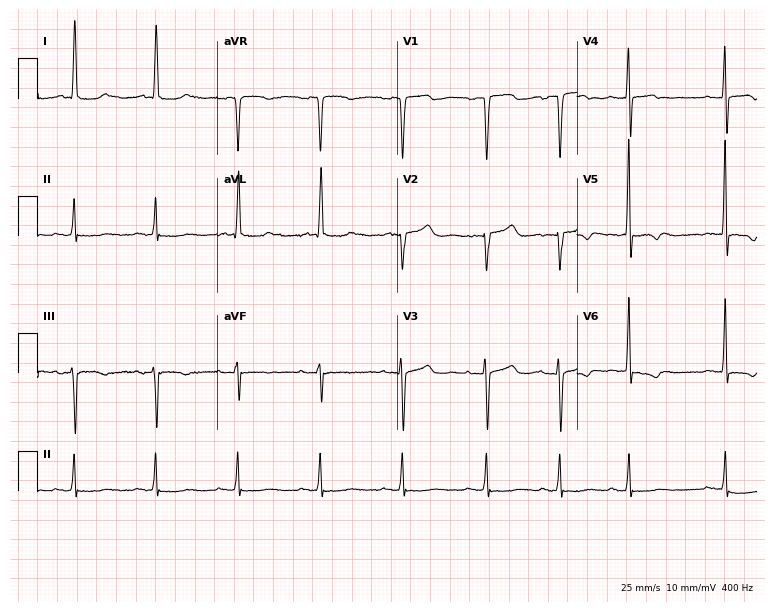
Standard 12-lead ECG recorded from an 80-year-old female (7.3-second recording at 400 Hz). None of these six findings is recorded: first-degree AV block, right bundle branch block (RBBB), left bundle branch block (LBBB), sinus bradycardia, atrial fibrillation (AF), sinus tachycardia. Other findings, if any, are not listed.